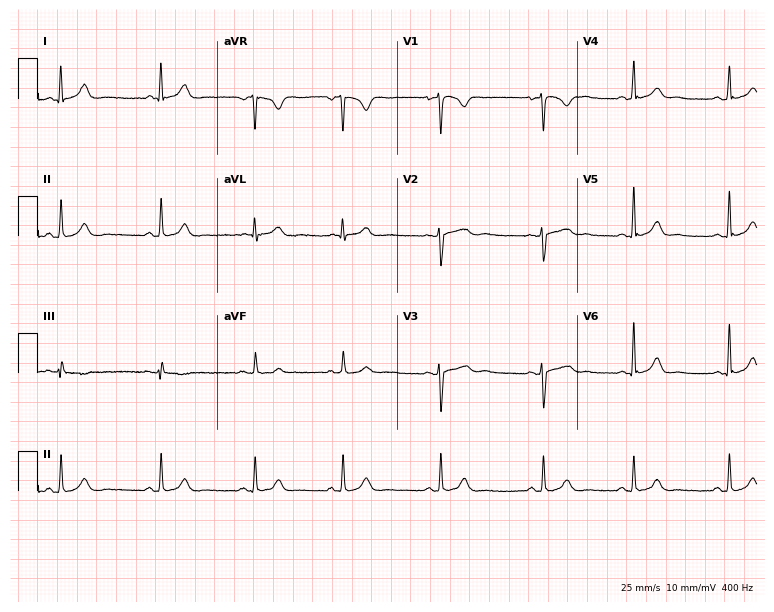
Standard 12-lead ECG recorded from a female patient, 25 years old (7.3-second recording at 400 Hz). Read as a normal ECG.